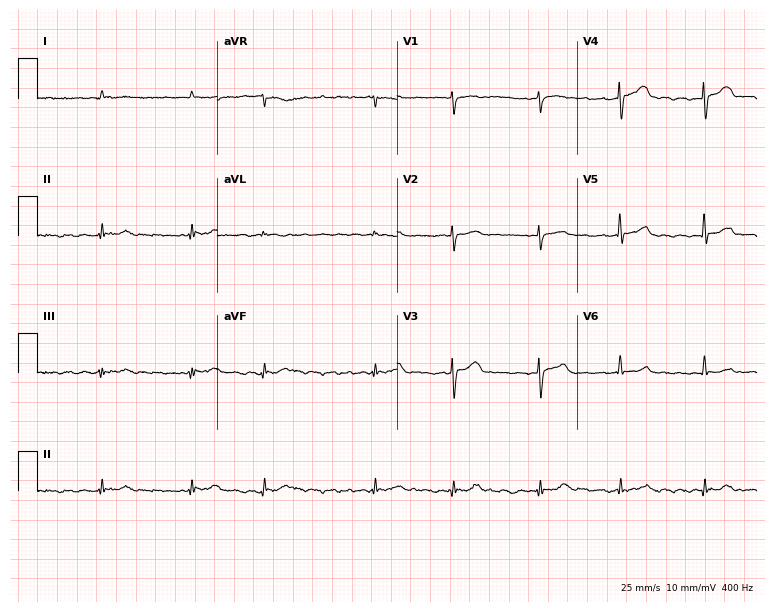
Standard 12-lead ECG recorded from a male patient, 85 years old (7.3-second recording at 400 Hz). The tracing shows atrial fibrillation (AF).